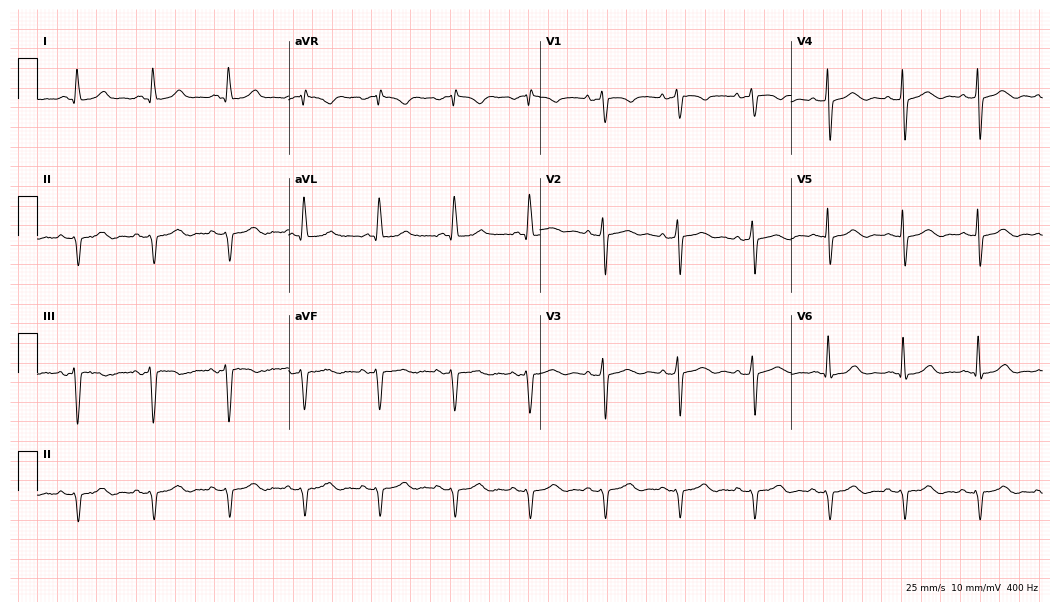
ECG (10.2-second recording at 400 Hz) — a woman, 80 years old. Screened for six findings — first-degree AV block, right bundle branch block, left bundle branch block, sinus bradycardia, atrial fibrillation, sinus tachycardia — none is recorded.